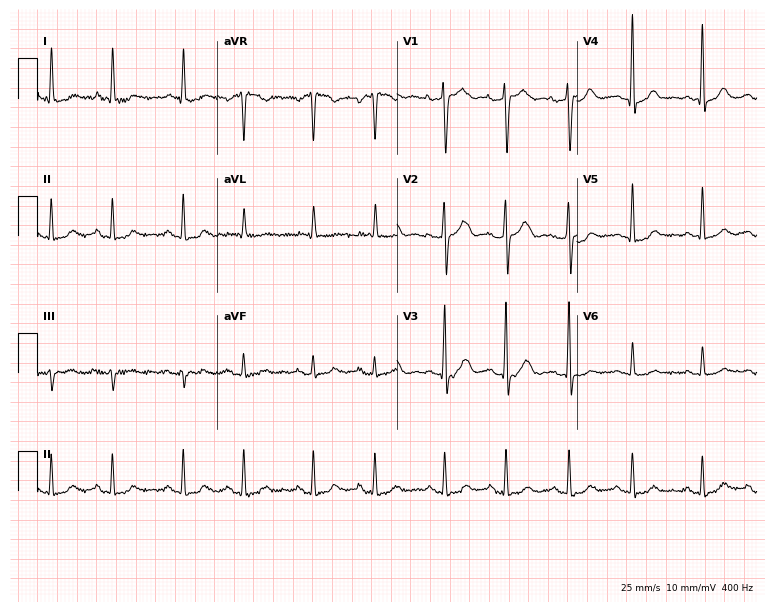
ECG — a woman, 76 years old. Labelled as a normal ECG.